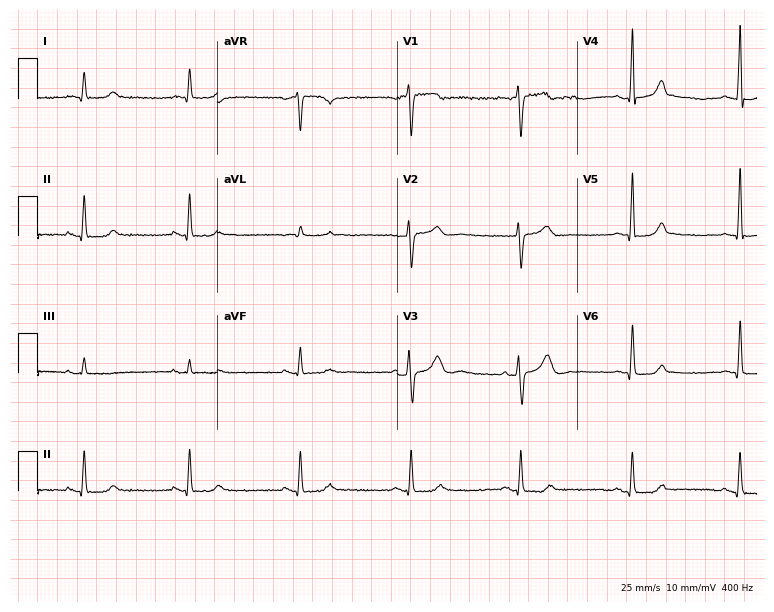
12-lead ECG (7.3-second recording at 400 Hz) from a man, 65 years old. Screened for six findings — first-degree AV block, right bundle branch block, left bundle branch block, sinus bradycardia, atrial fibrillation, sinus tachycardia — none is recorded. Other findings, if any, are not listed.